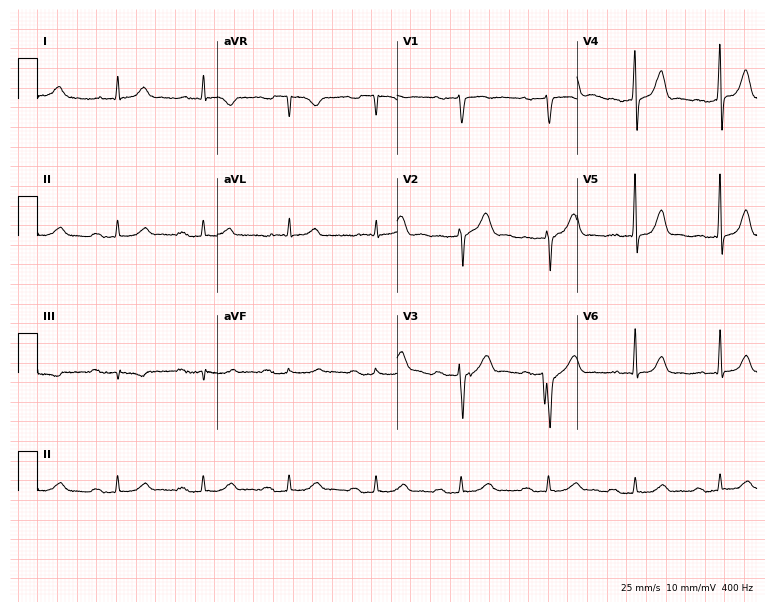
12-lead ECG from a male, 63 years old (7.3-second recording at 400 Hz). Shows first-degree AV block.